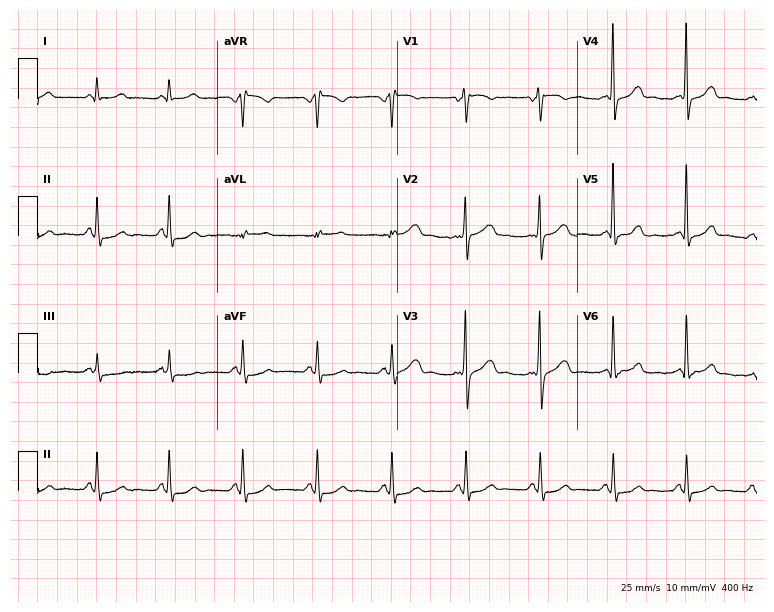
Resting 12-lead electrocardiogram. Patient: a 48-year-old male. None of these six findings is recorded: first-degree AV block, right bundle branch block, left bundle branch block, sinus bradycardia, atrial fibrillation, sinus tachycardia. Only these six findings were labelled.